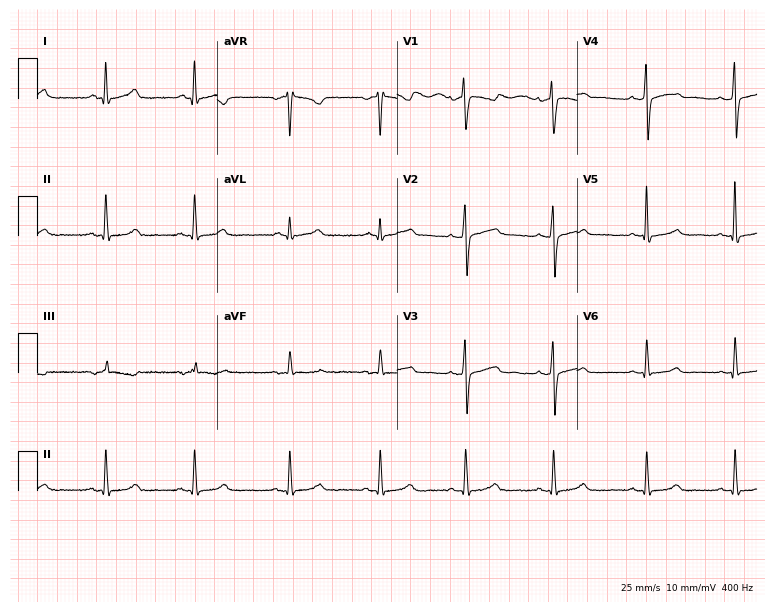
12-lead ECG from a female patient, 35 years old. Recorded interpretation: within normal limits.